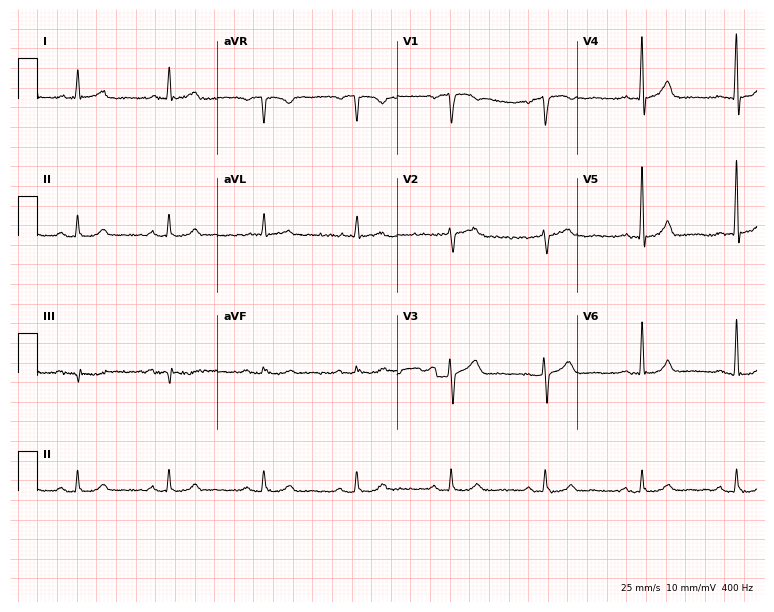
ECG (7.3-second recording at 400 Hz) — a 72-year-old male. Labelled as a normal ECG.